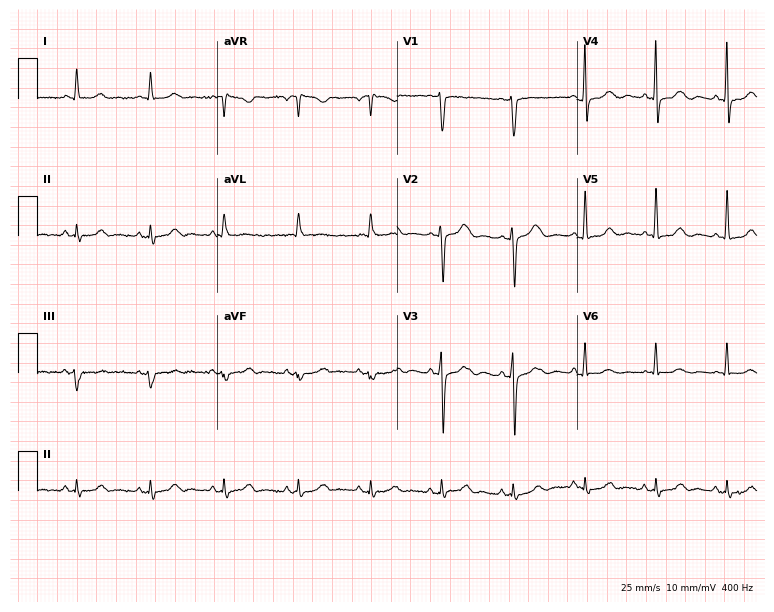
Standard 12-lead ECG recorded from a 64-year-old woman. None of these six findings is recorded: first-degree AV block, right bundle branch block (RBBB), left bundle branch block (LBBB), sinus bradycardia, atrial fibrillation (AF), sinus tachycardia.